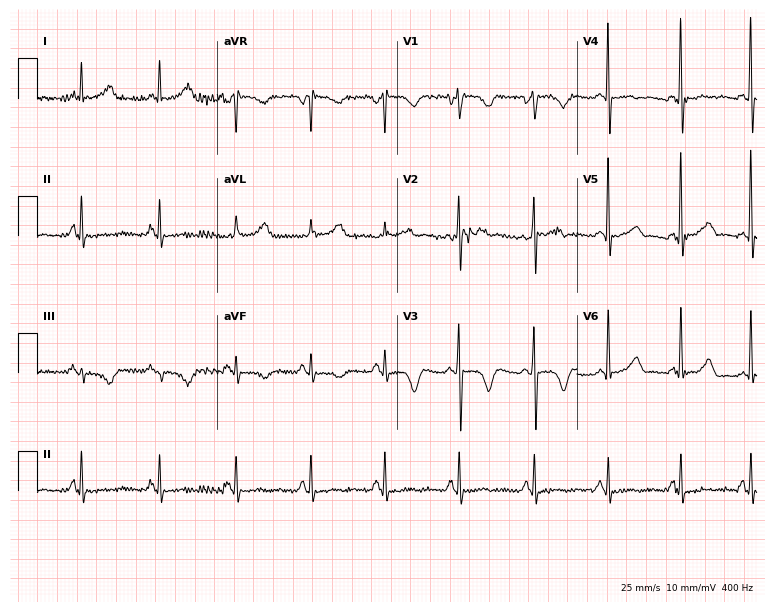
Standard 12-lead ECG recorded from a 77-year-old male. Read as a normal ECG.